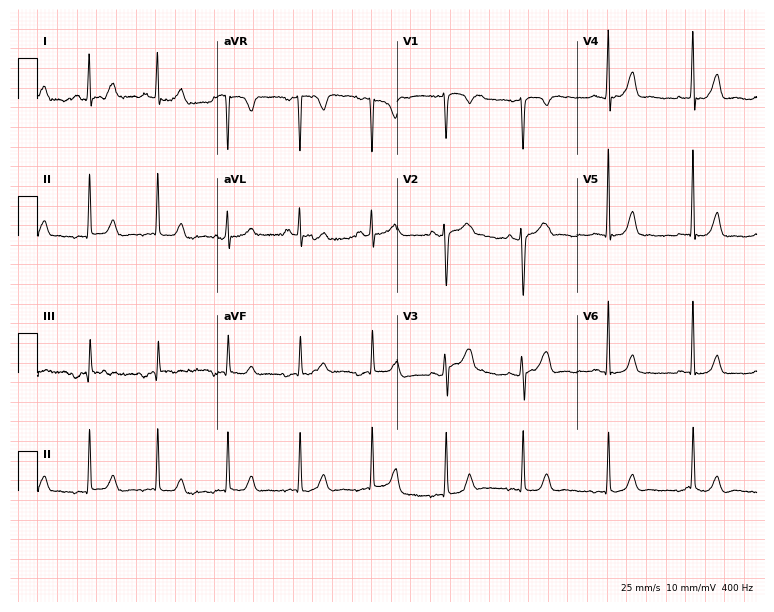
12-lead ECG from a female patient, 45 years old. Recorded interpretation: within normal limits.